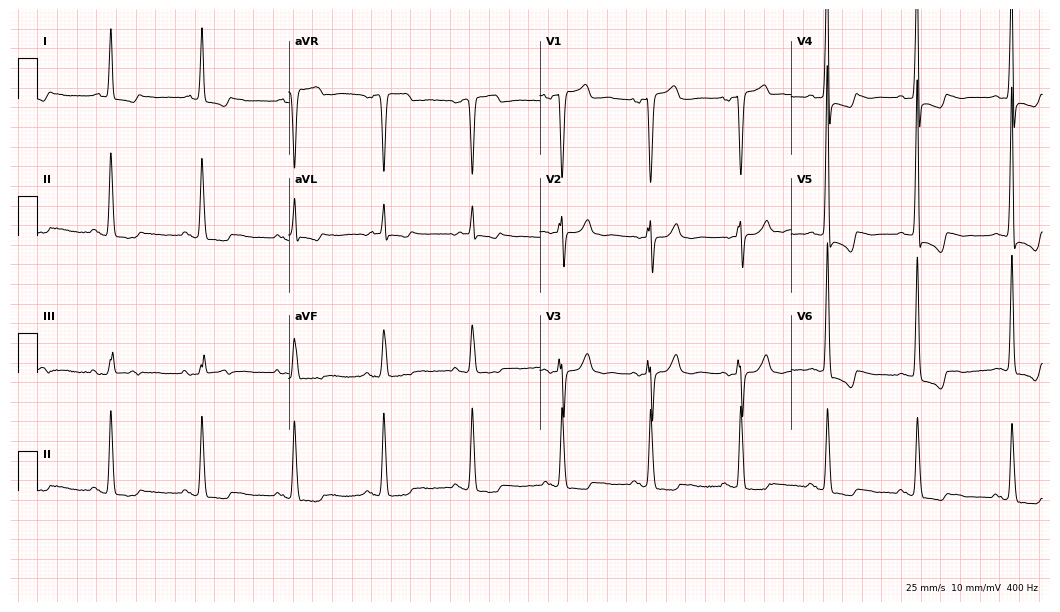
Electrocardiogram (10.2-second recording at 400 Hz), a female, 78 years old. Of the six screened findings (first-degree AV block, right bundle branch block, left bundle branch block, sinus bradycardia, atrial fibrillation, sinus tachycardia), none is recorded. Findings outside these six are not listed.